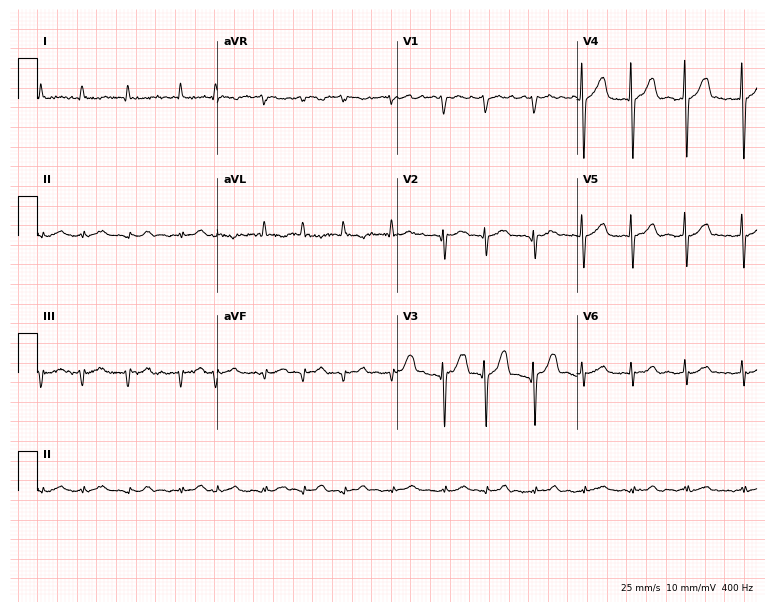
12-lead ECG from an 82-year-old female patient. Findings include atrial fibrillation (AF).